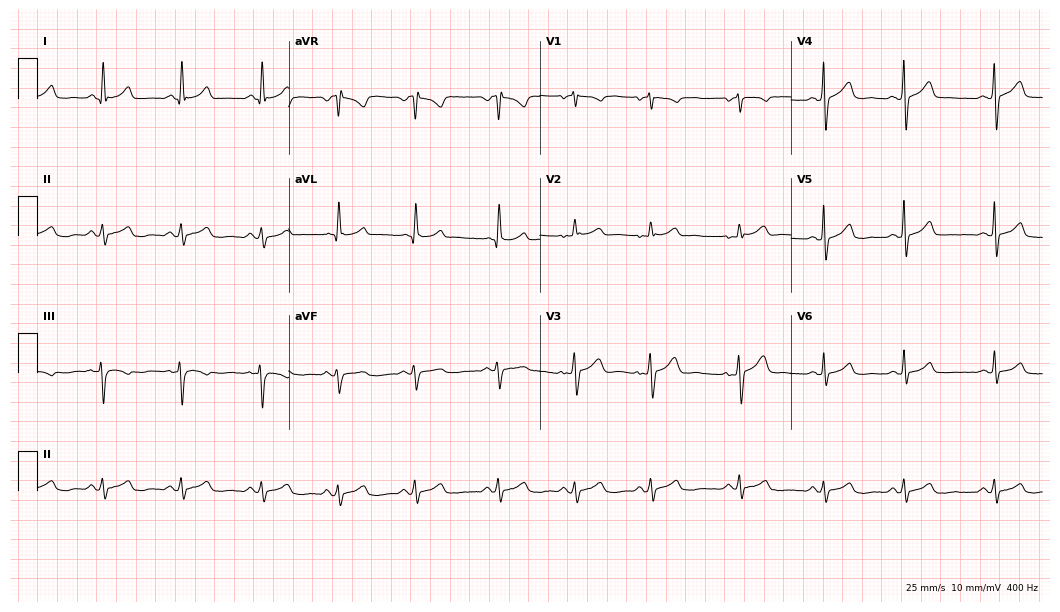
Electrocardiogram, a 36-year-old woman. Overall reading on record: normal ECG.